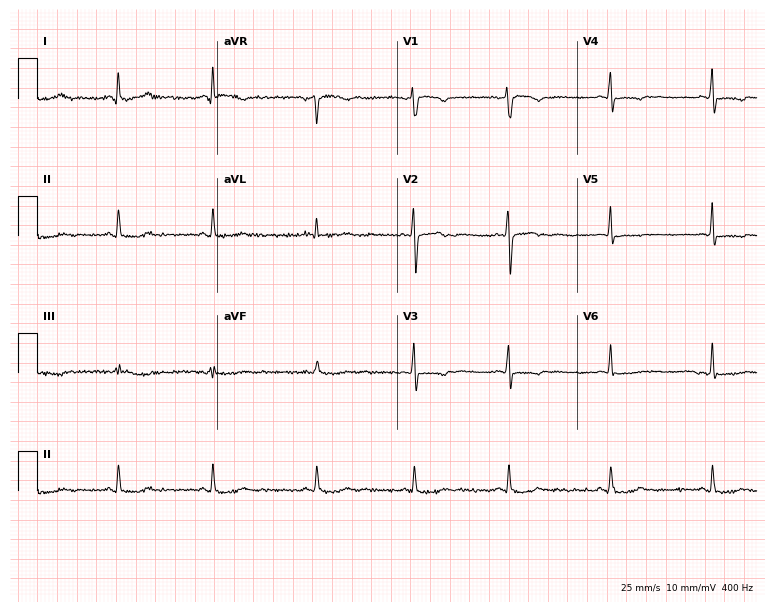
12-lead ECG from a female patient, 38 years old. Screened for six findings — first-degree AV block, right bundle branch block (RBBB), left bundle branch block (LBBB), sinus bradycardia, atrial fibrillation (AF), sinus tachycardia — none is recorded.